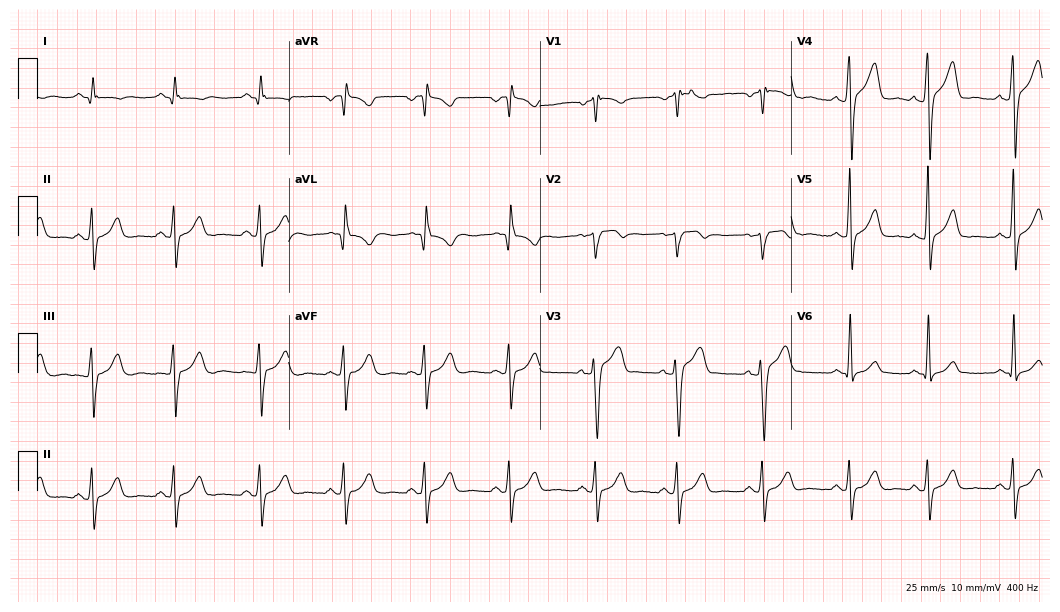
12-lead ECG from a man, 43 years old (10.2-second recording at 400 Hz). No first-degree AV block, right bundle branch block (RBBB), left bundle branch block (LBBB), sinus bradycardia, atrial fibrillation (AF) or sinus tachycardia recorded for this tracing.